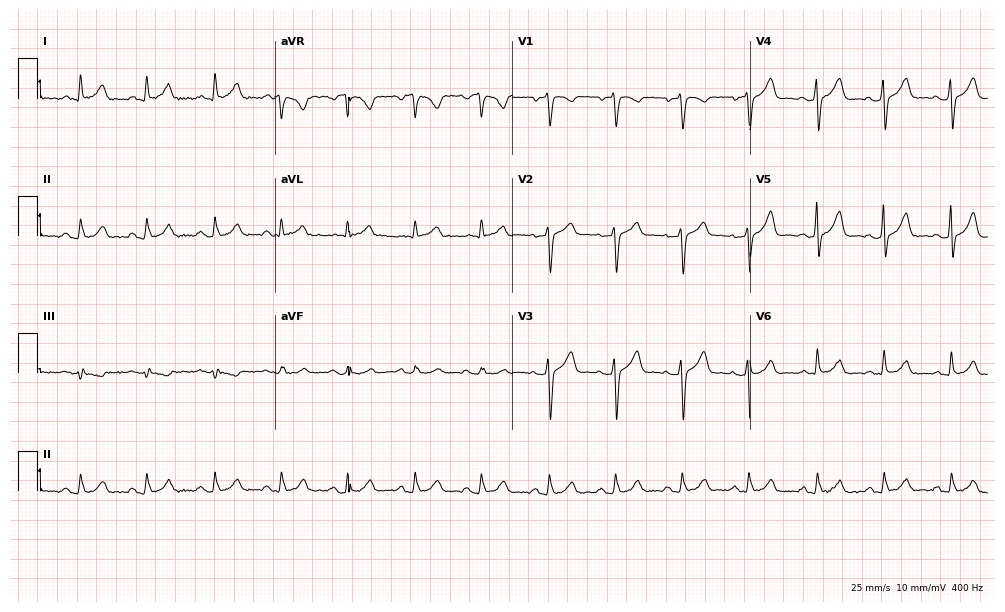
12-lead ECG (9.7-second recording at 400 Hz) from a 68-year-old man. Labelled as a normal ECG.